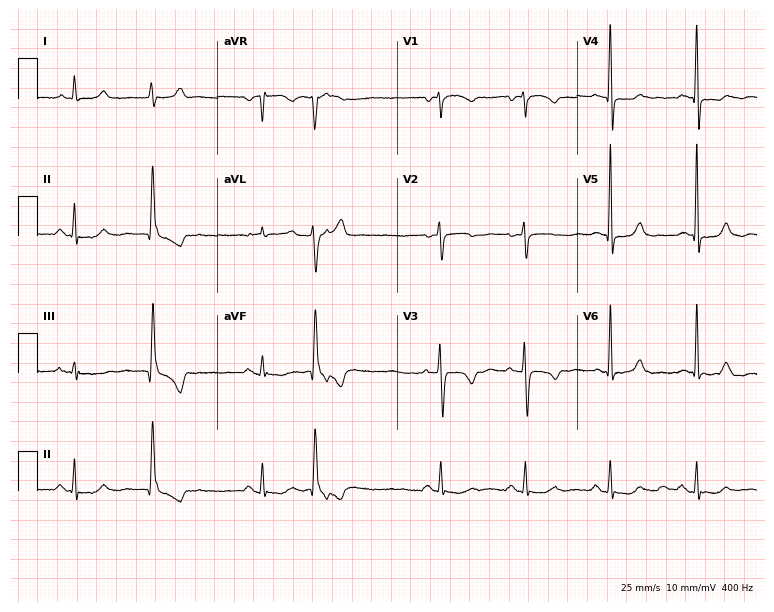
Resting 12-lead electrocardiogram (7.3-second recording at 400 Hz). Patient: a woman, 75 years old. None of these six findings is recorded: first-degree AV block, right bundle branch block, left bundle branch block, sinus bradycardia, atrial fibrillation, sinus tachycardia. Findings outside these six are not listed.